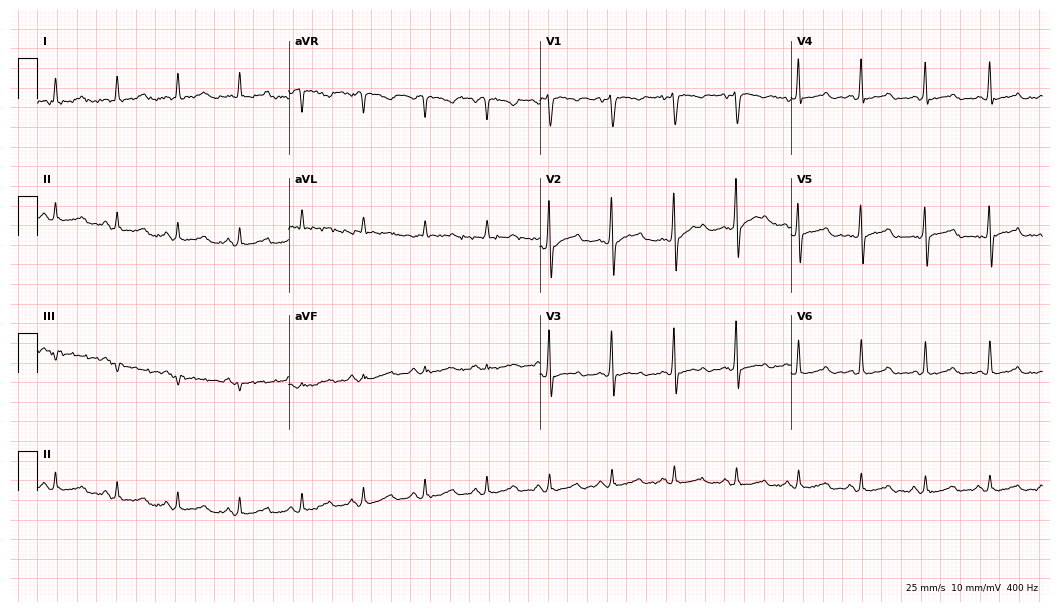
12-lead ECG from a 67-year-old male patient. Screened for six findings — first-degree AV block, right bundle branch block, left bundle branch block, sinus bradycardia, atrial fibrillation, sinus tachycardia — none is recorded.